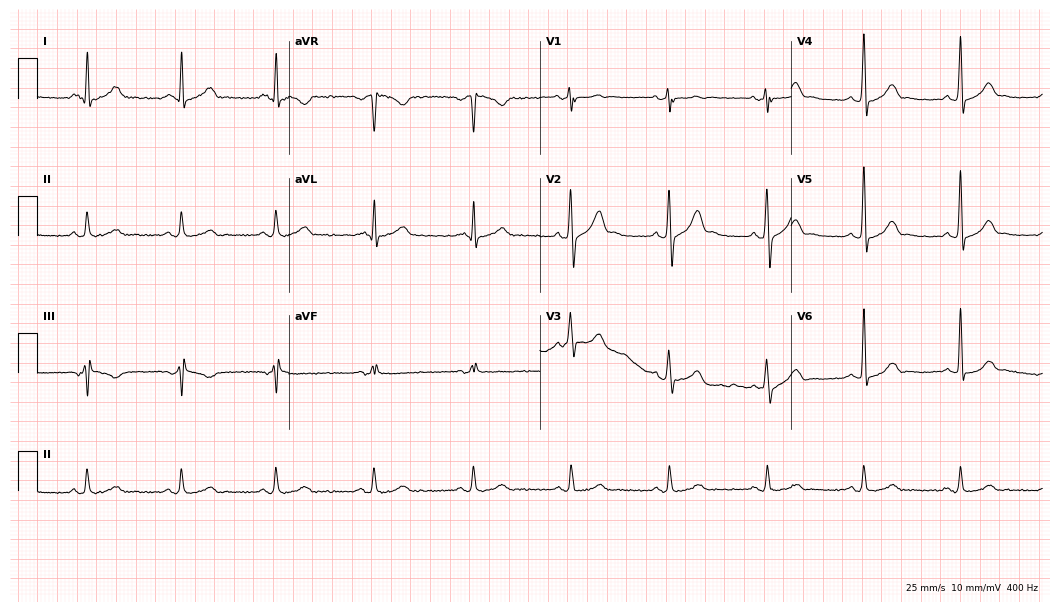
Standard 12-lead ECG recorded from a male, 45 years old (10.2-second recording at 400 Hz). Read as a normal ECG.